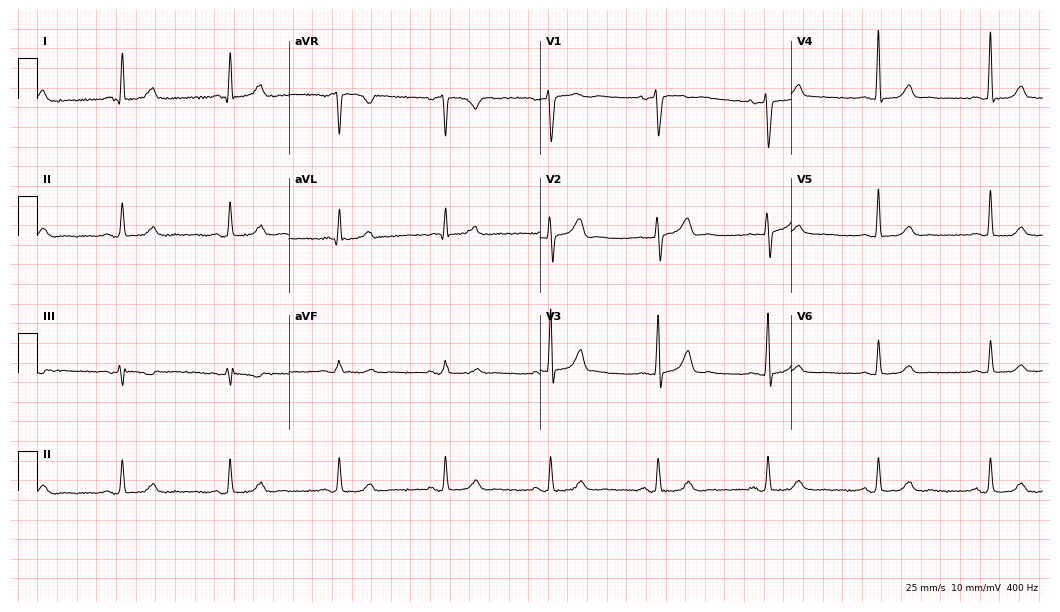
12-lead ECG from a 39-year-old female patient. Labelled as a normal ECG.